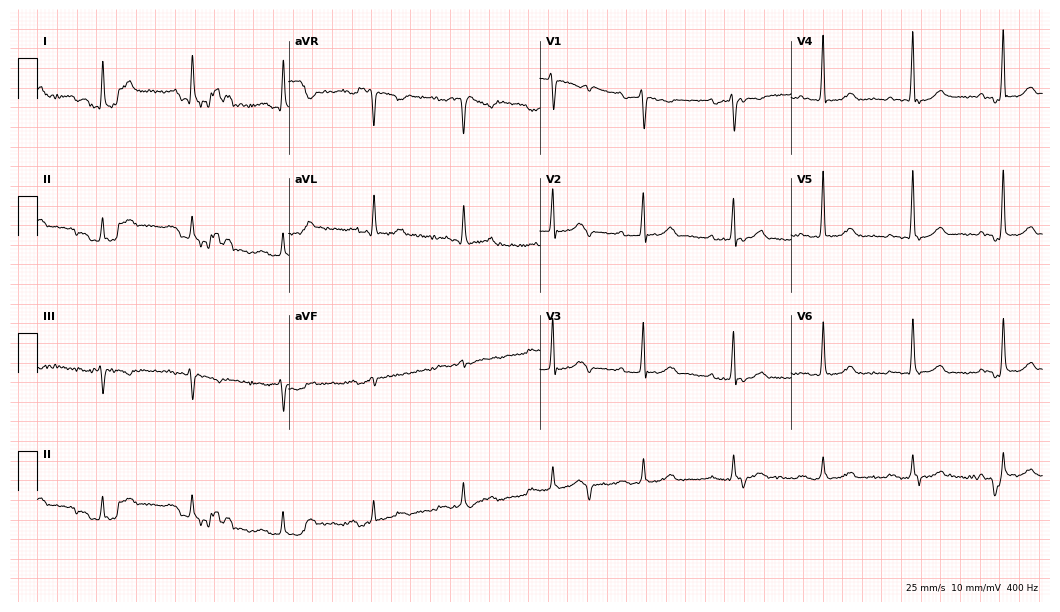
Electrocardiogram, a man, 60 years old. Of the six screened findings (first-degree AV block, right bundle branch block (RBBB), left bundle branch block (LBBB), sinus bradycardia, atrial fibrillation (AF), sinus tachycardia), none is recorded. Findings outside these six are not listed.